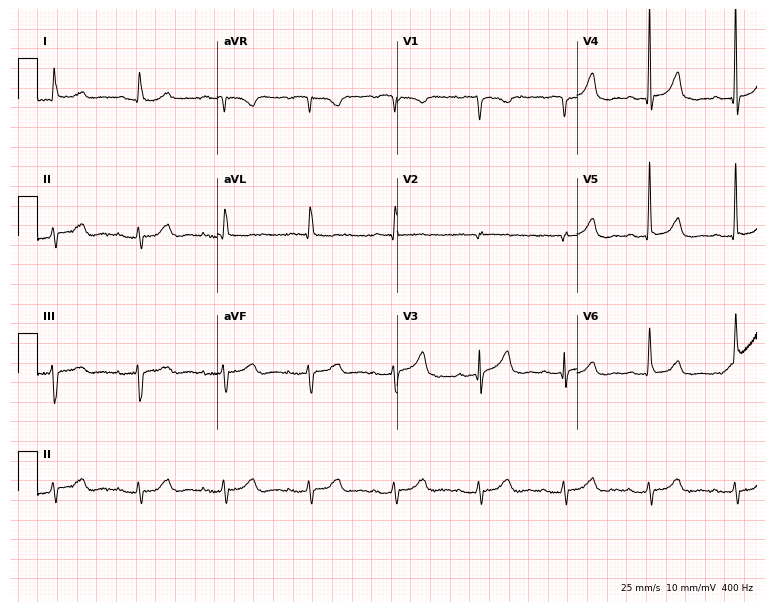
ECG — a male, 70 years old. Screened for six findings — first-degree AV block, right bundle branch block, left bundle branch block, sinus bradycardia, atrial fibrillation, sinus tachycardia — none is recorded. Only these six findings were labelled.